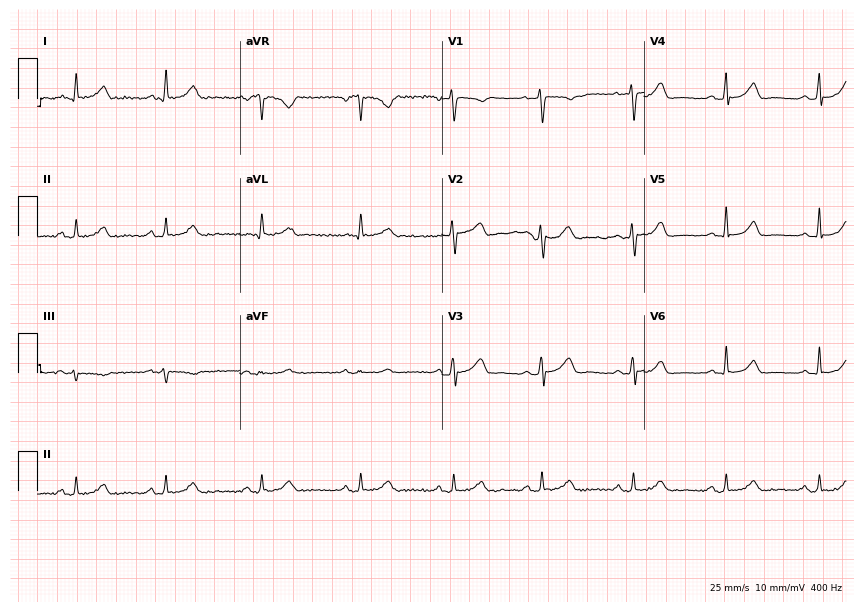
Electrocardiogram, a female, 40 years old. Overall reading on record: normal ECG.